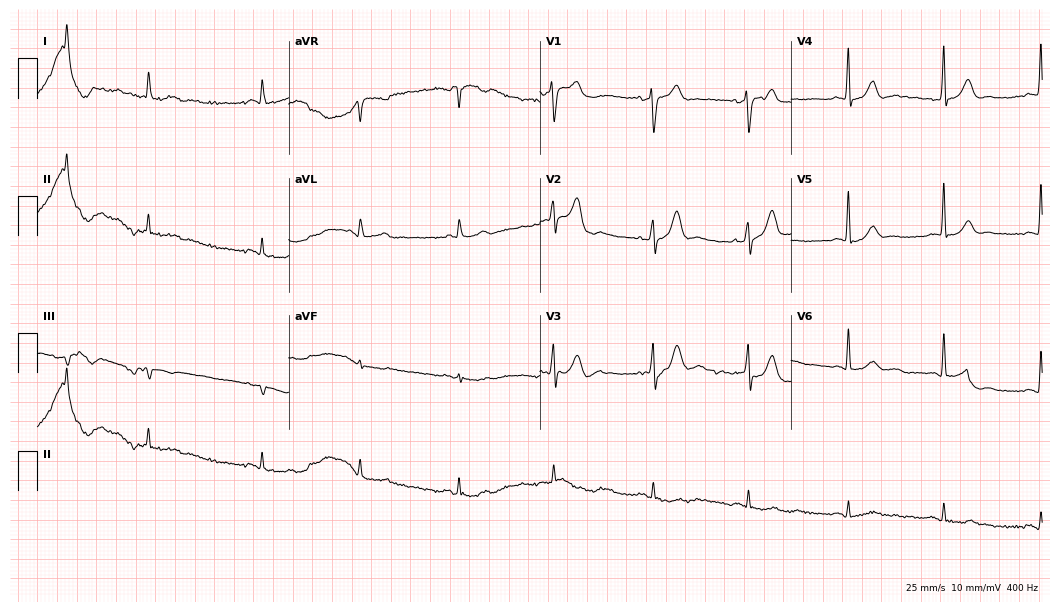
12-lead ECG from a 68-year-old male patient (10.2-second recording at 400 Hz). No first-degree AV block, right bundle branch block (RBBB), left bundle branch block (LBBB), sinus bradycardia, atrial fibrillation (AF) or sinus tachycardia recorded for this tracing. Findings outside these six are not listed.